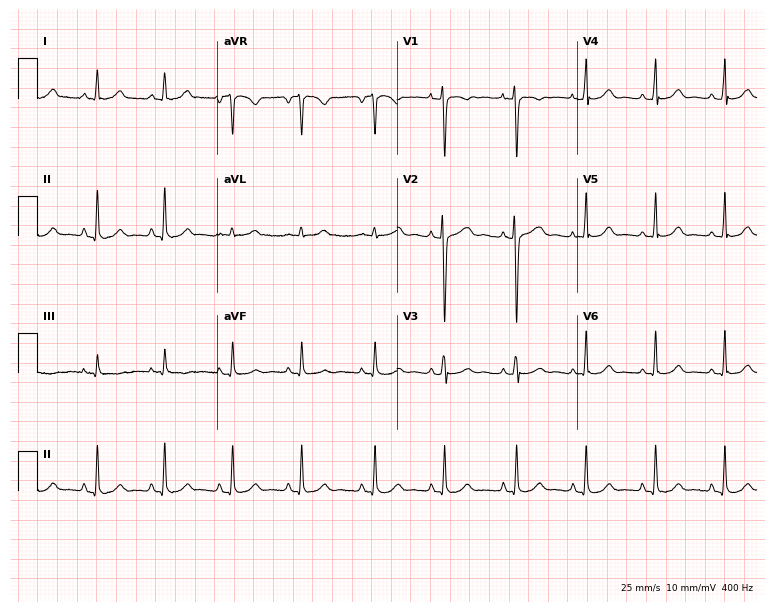
Standard 12-lead ECG recorded from an 18-year-old female patient. Read as a normal ECG.